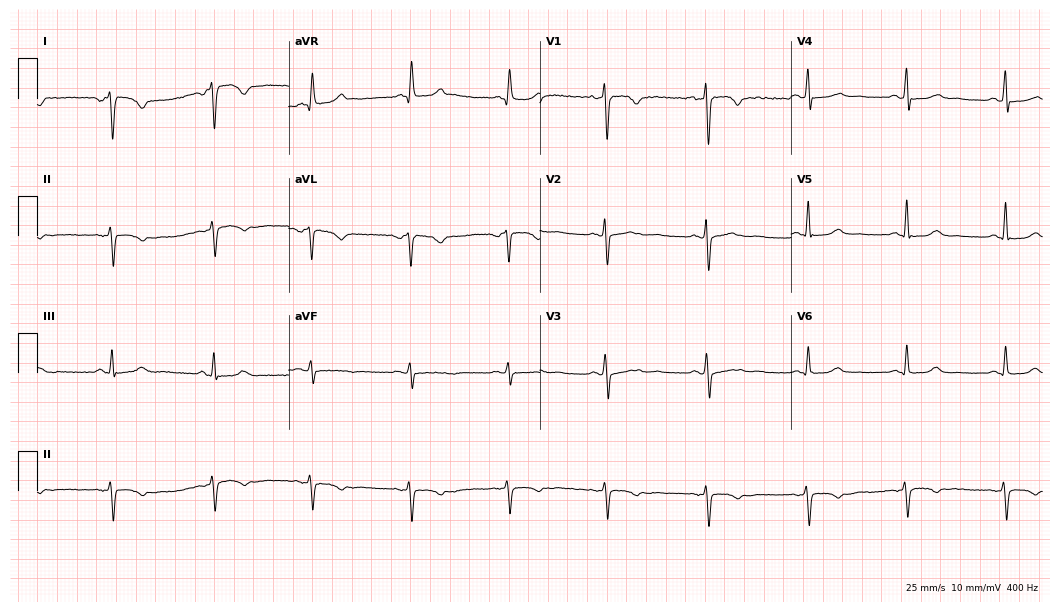
12-lead ECG from a 44-year-old female patient. No first-degree AV block, right bundle branch block, left bundle branch block, sinus bradycardia, atrial fibrillation or sinus tachycardia recorded for this tracing.